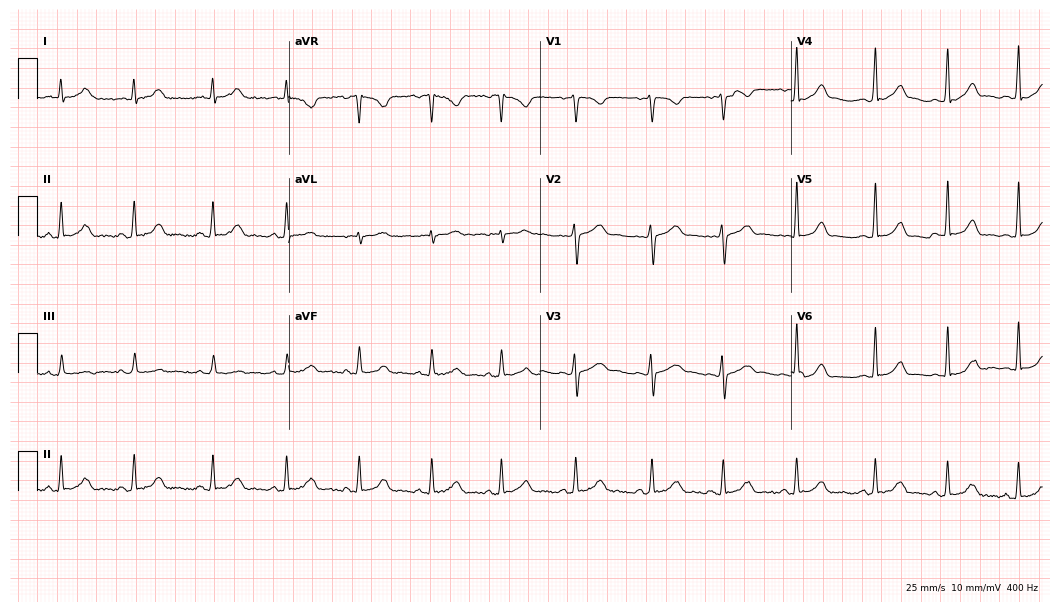
Standard 12-lead ECG recorded from a female patient, 19 years old (10.2-second recording at 400 Hz). Read as a normal ECG.